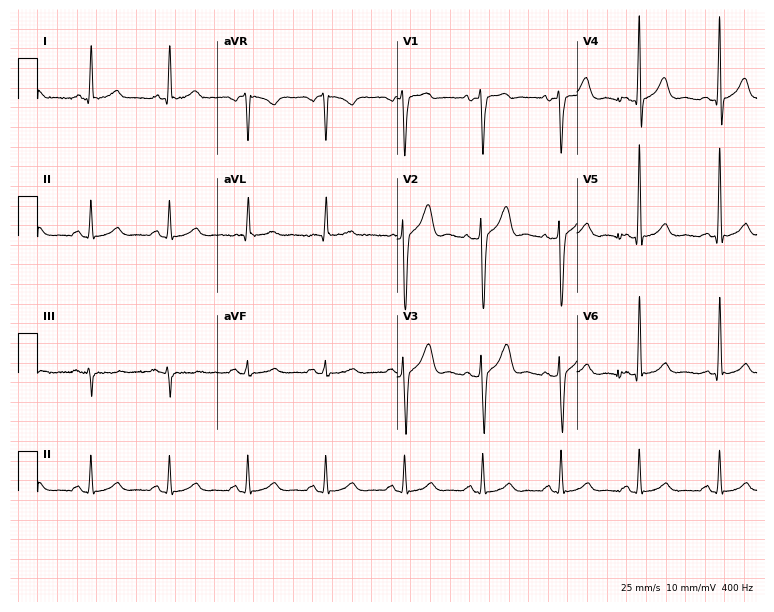
ECG (7.3-second recording at 400 Hz) — a male patient, 42 years old. Labelled as a normal ECG.